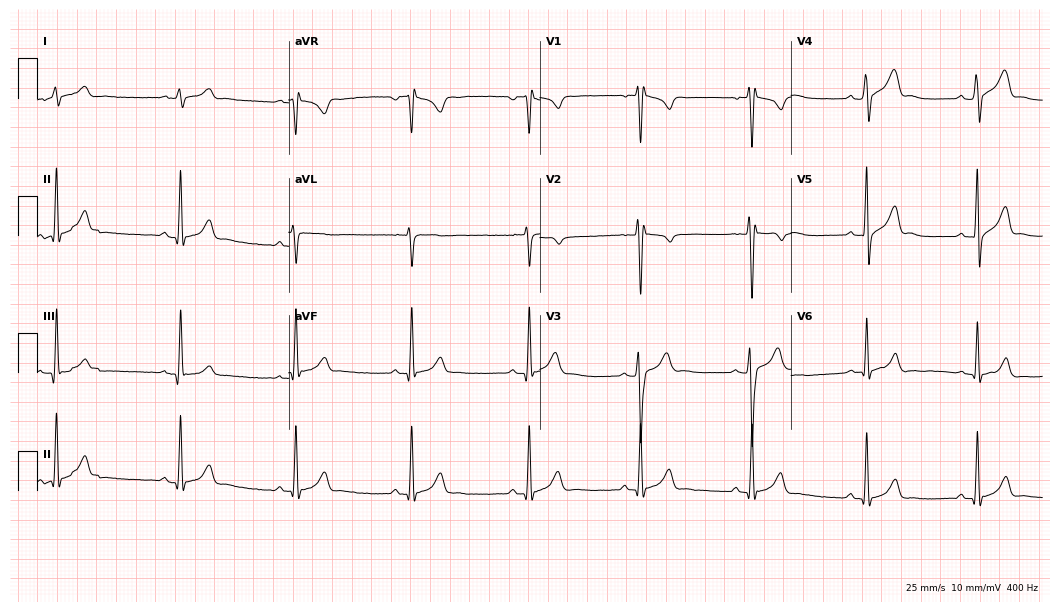
Standard 12-lead ECG recorded from a 22-year-old male patient. None of these six findings is recorded: first-degree AV block, right bundle branch block (RBBB), left bundle branch block (LBBB), sinus bradycardia, atrial fibrillation (AF), sinus tachycardia.